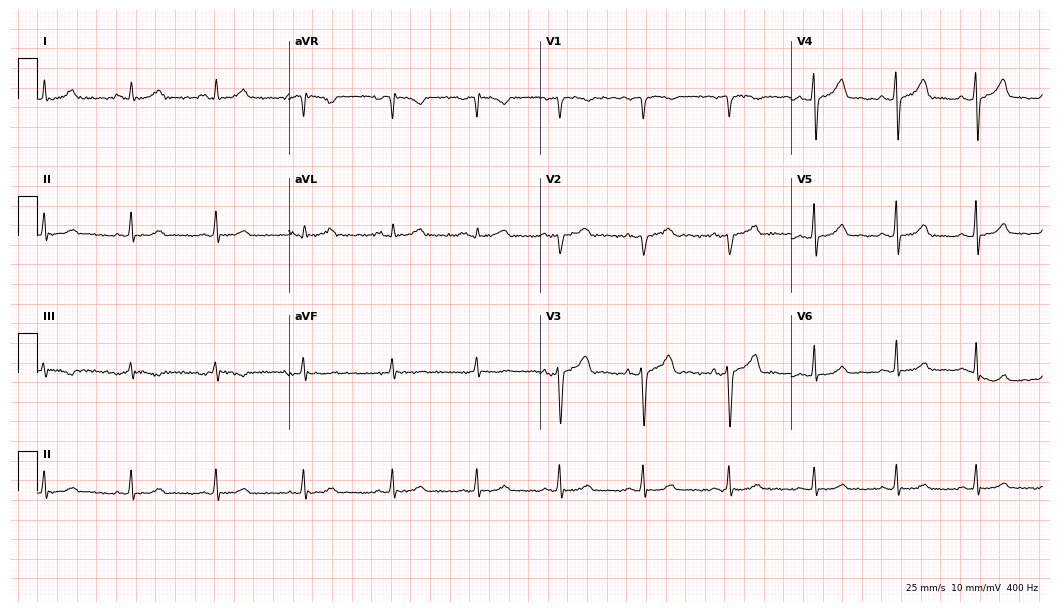
ECG — a female patient, 37 years old. Labelled as a normal ECG.